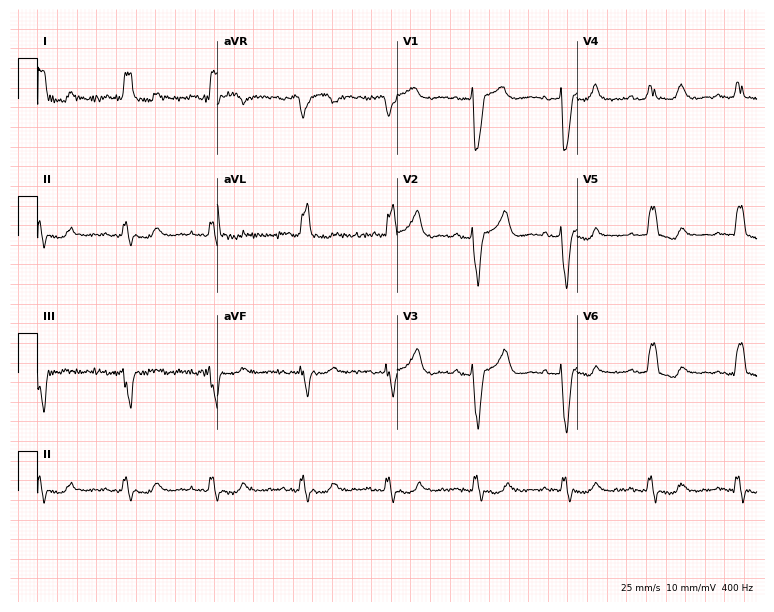
Standard 12-lead ECG recorded from a 76-year-old female patient (7.3-second recording at 400 Hz). The tracing shows left bundle branch block (LBBB).